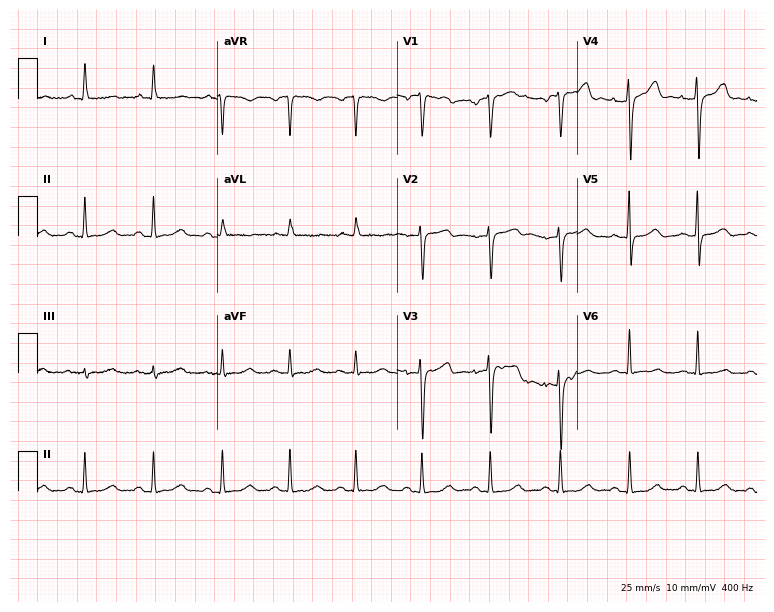
12-lead ECG from a woman, 67 years old. No first-degree AV block, right bundle branch block (RBBB), left bundle branch block (LBBB), sinus bradycardia, atrial fibrillation (AF) or sinus tachycardia recorded for this tracing. Only these six findings were labelled.